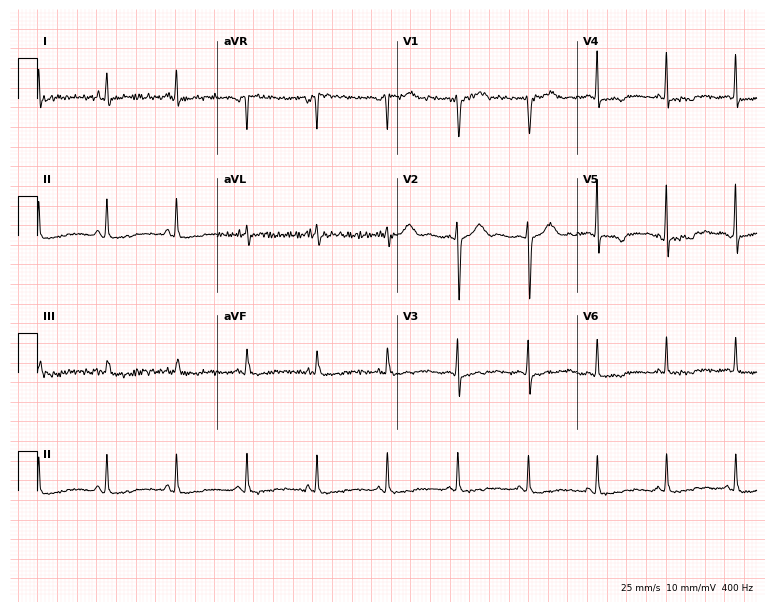
Resting 12-lead electrocardiogram. Patient: a 60-year-old woman. None of these six findings is recorded: first-degree AV block, right bundle branch block, left bundle branch block, sinus bradycardia, atrial fibrillation, sinus tachycardia. Only these six findings were labelled.